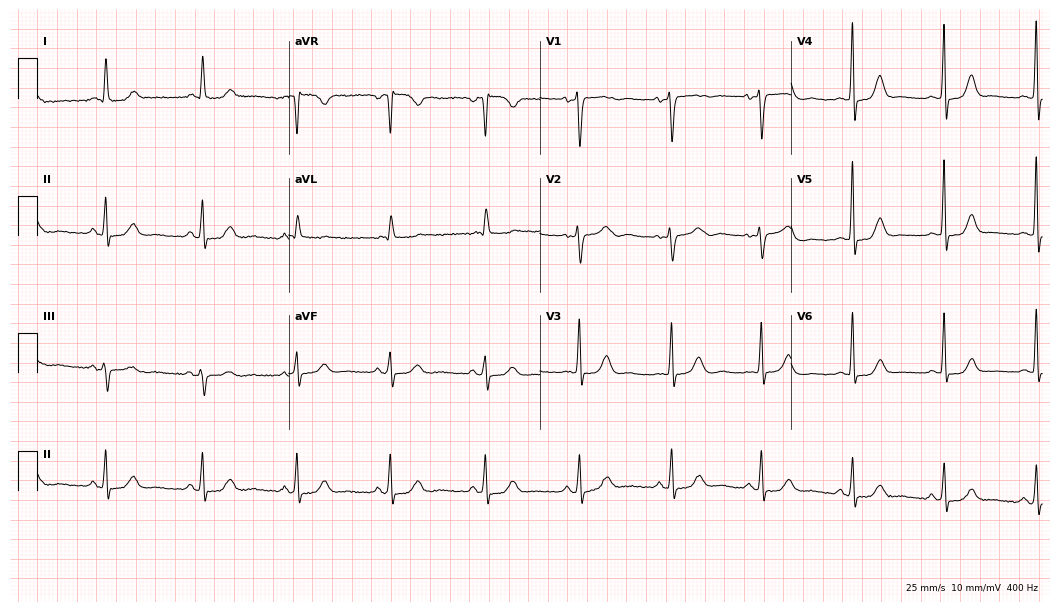
Standard 12-lead ECG recorded from a 65-year-old female patient. Read as a normal ECG.